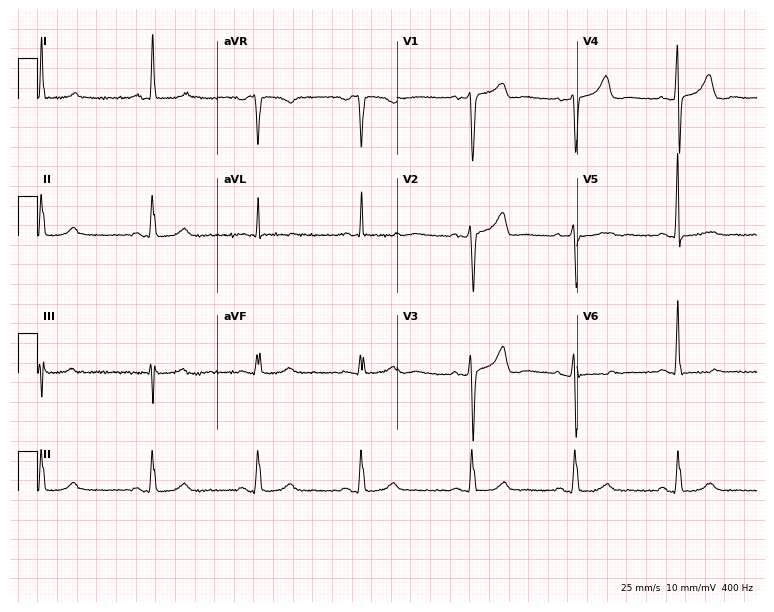
Standard 12-lead ECG recorded from a female patient, 54 years old (7.3-second recording at 400 Hz). None of these six findings is recorded: first-degree AV block, right bundle branch block, left bundle branch block, sinus bradycardia, atrial fibrillation, sinus tachycardia. Other findings, if any, are not listed.